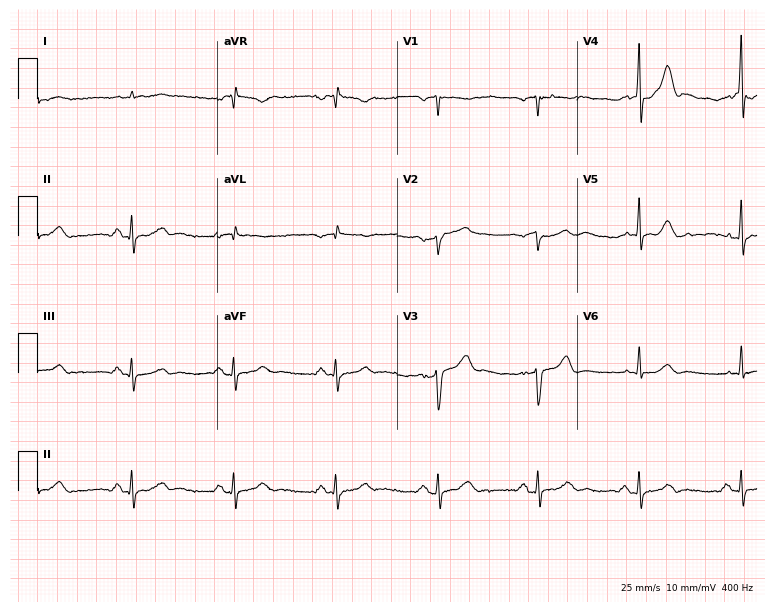
Resting 12-lead electrocardiogram (7.3-second recording at 400 Hz). Patient: an 84-year-old male. None of these six findings is recorded: first-degree AV block, right bundle branch block (RBBB), left bundle branch block (LBBB), sinus bradycardia, atrial fibrillation (AF), sinus tachycardia. Findings outside these six are not listed.